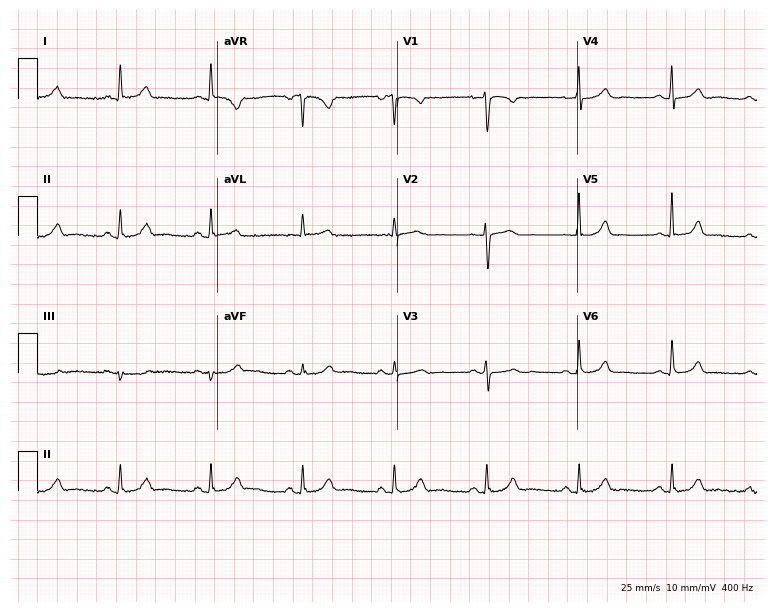
Resting 12-lead electrocardiogram (7.3-second recording at 400 Hz). Patient: a woman, 39 years old. Read as a normal ECG.